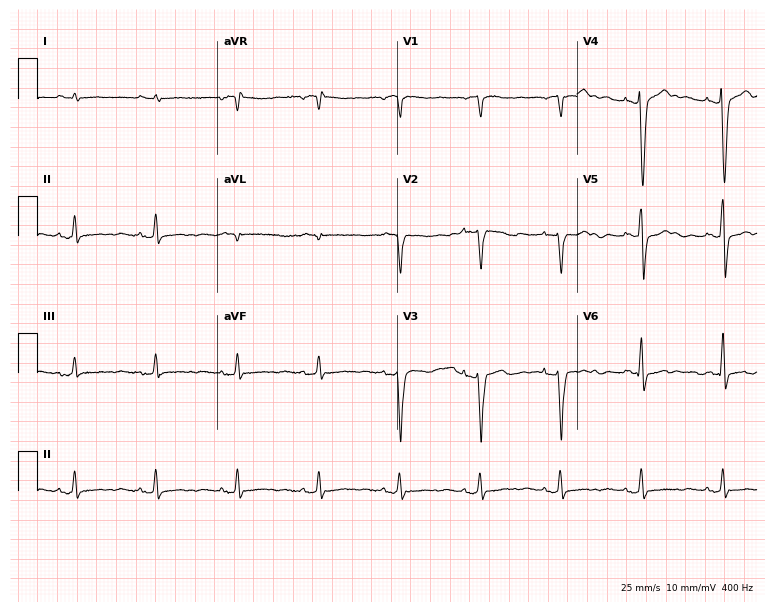
ECG — a 72-year-old male. Screened for six findings — first-degree AV block, right bundle branch block, left bundle branch block, sinus bradycardia, atrial fibrillation, sinus tachycardia — none is recorded.